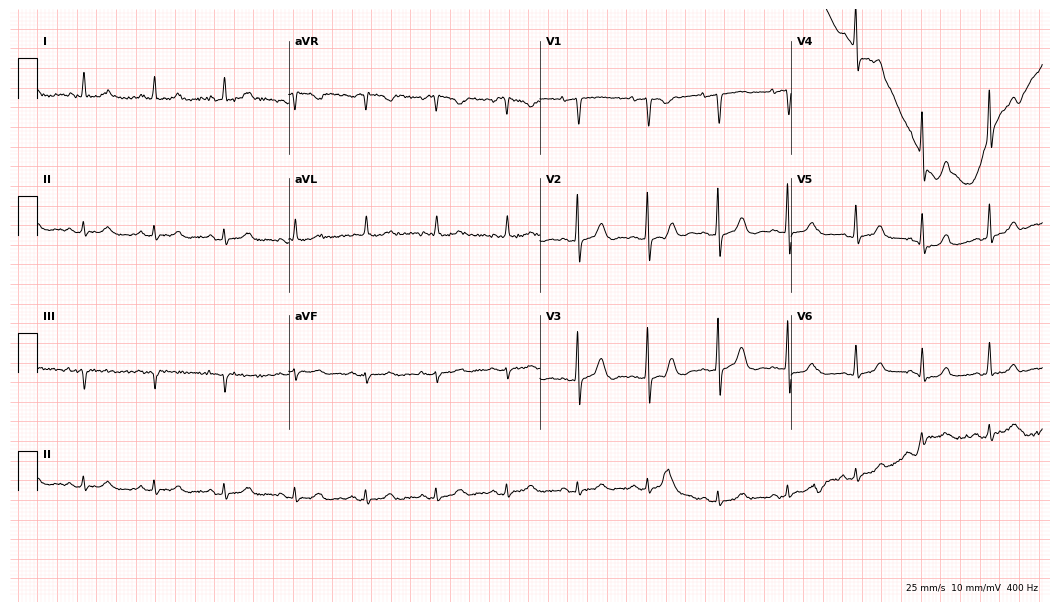
Electrocardiogram, an 81-year-old female patient. Overall reading on record: normal ECG.